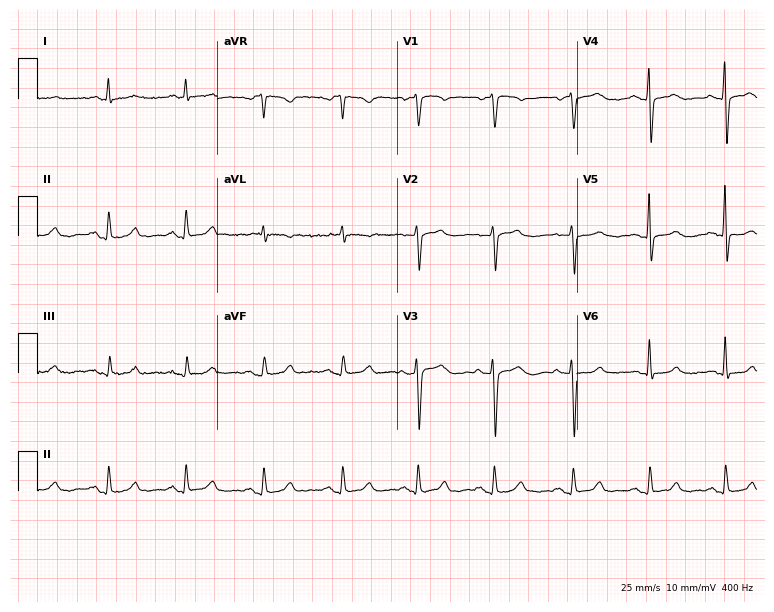
12-lead ECG from a female patient, 60 years old (7.3-second recording at 400 Hz). Recorded interpretation: within normal limits.